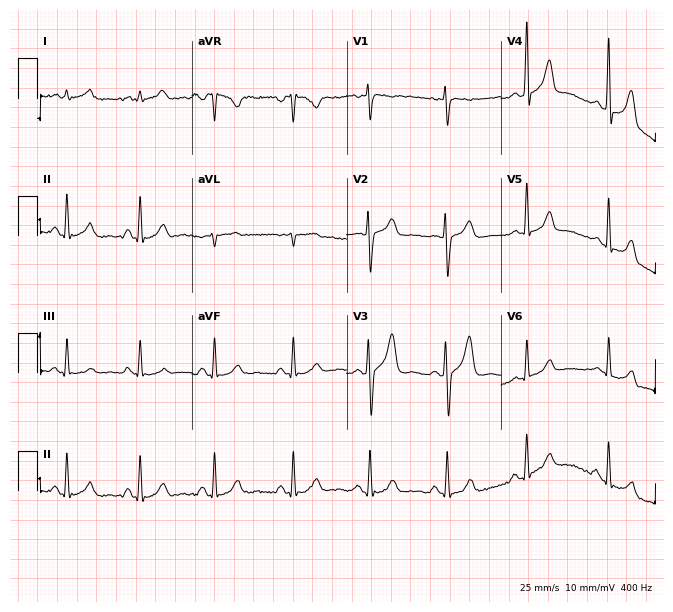
Standard 12-lead ECG recorded from a female patient, 30 years old (6.3-second recording at 400 Hz). None of these six findings is recorded: first-degree AV block, right bundle branch block, left bundle branch block, sinus bradycardia, atrial fibrillation, sinus tachycardia.